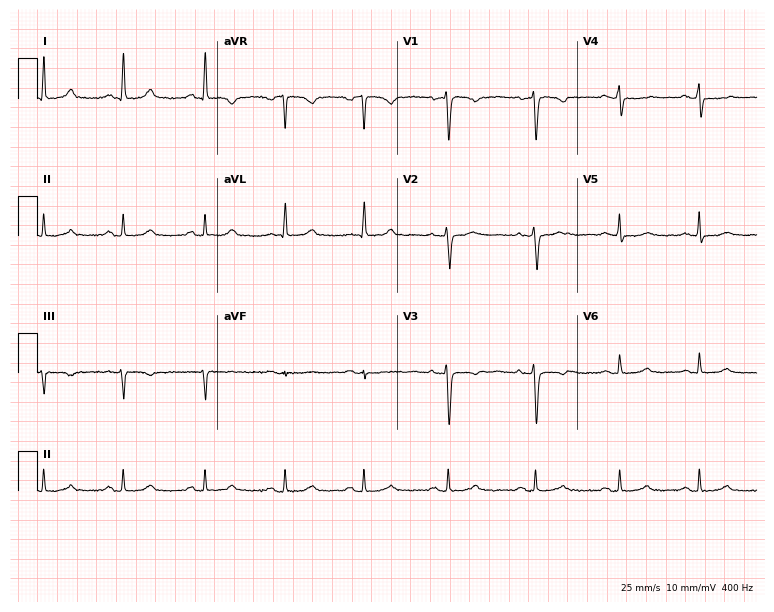
Resting 12-lead electrocardiogram (7.3-second recording at 400 Hz). Patient: a female, 44 years old. None of these six findings is recorded: first-degree AV block, right bundle branch block (RBBB), left bundle branch block (LBBB), sinus bradycardia, atrial fibrillation (AF), sinus tachycardia. Only these six findings were labelled.